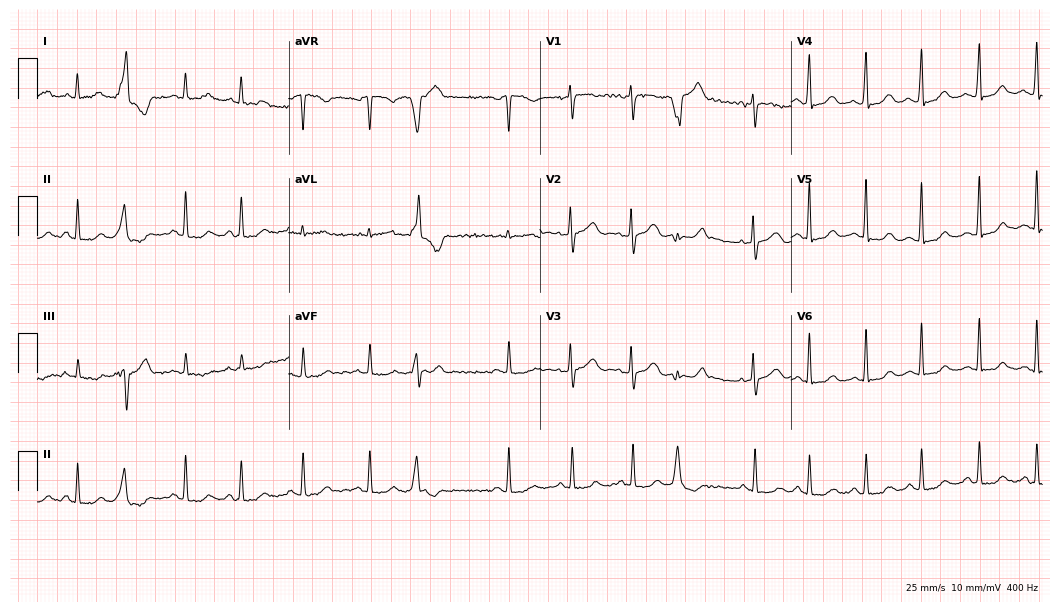
Standard 12-lead ECG recorded from a 51-year-old woman (10.2-second recording at 400 Hz). The tracing shows sinus tachycardia (a sinus rate of 100 beats per minute or more).